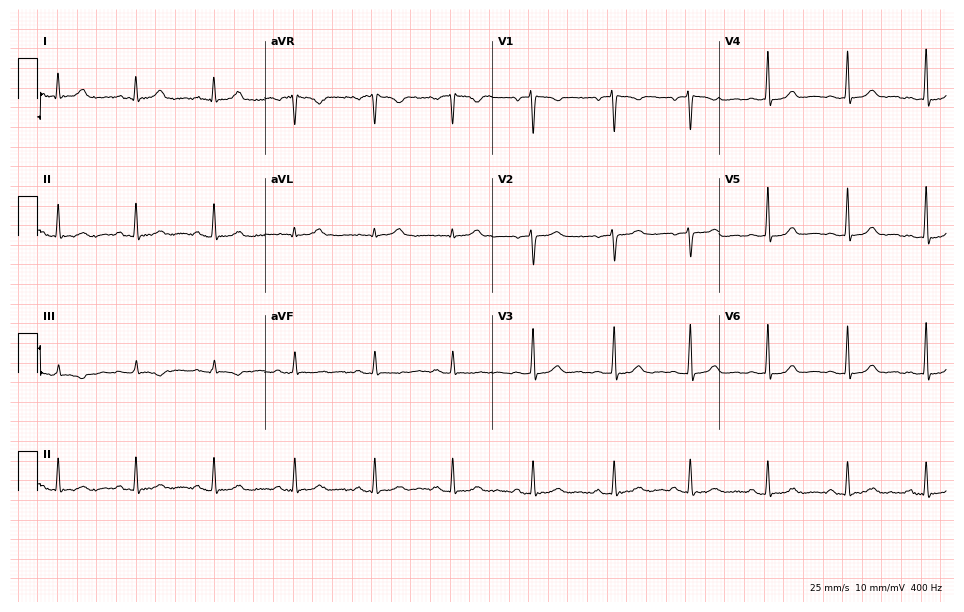
12-lead ECG from a 36-year-old woman. Labelled as a normal ECG.